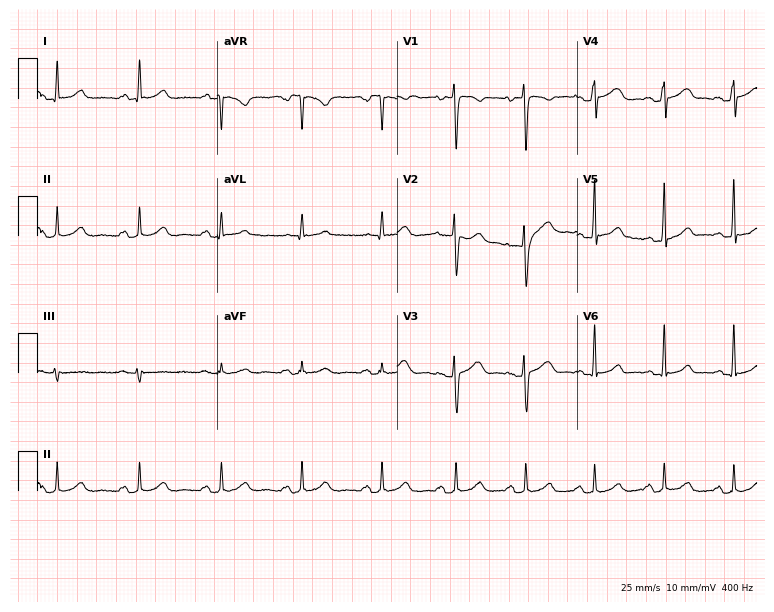
12-lead ECG (7.3-second recording at 400 Hz) from a 39-year-old woman. Screened for six findings — first-degree AV block, right bundle branch block, left bundle branch block, sinus bradycardia, atrial fibrillation, sinus tachycardia — none is recorded. Other findings, if any, are not listed.